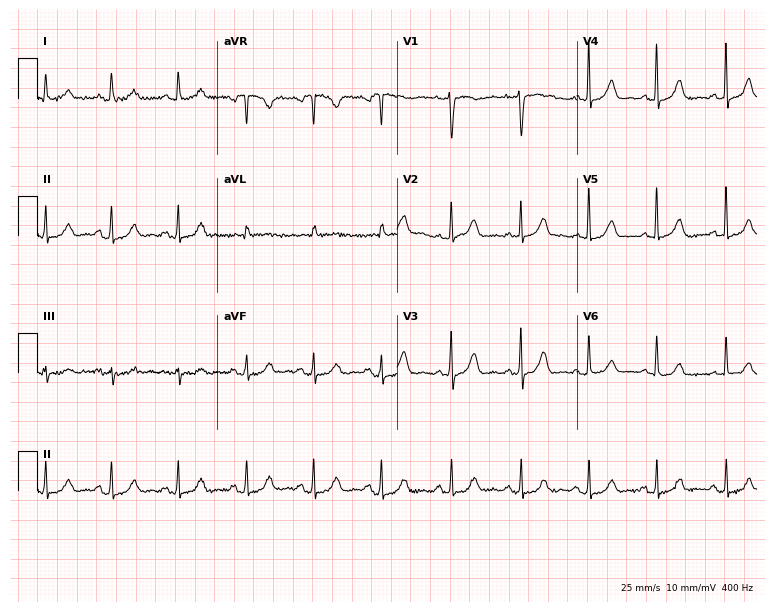
Standard 12-lead ECG recorded from a 76-year-old woman (7.3-second recording at 400 Hz). Read as a normal ECG.